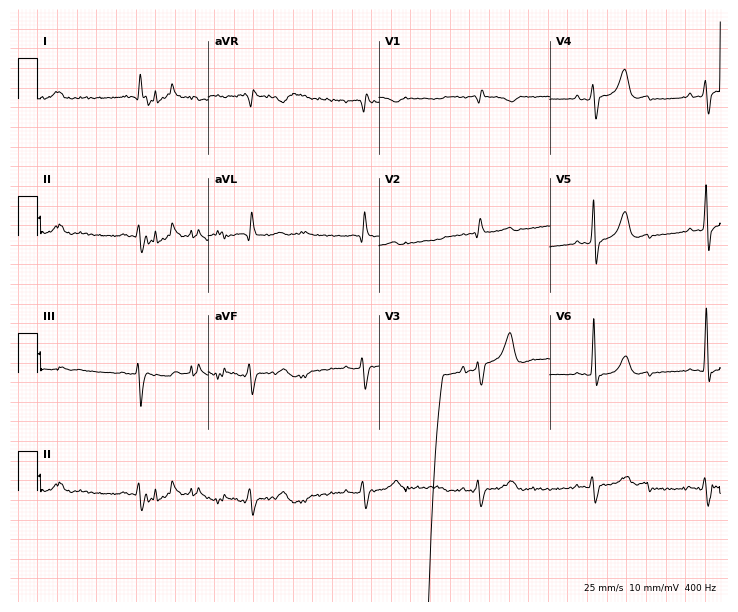
12-lead ECG from an 86-year-old female. No first-degree AV block, right bundle branch block, left bundle branch block, sinus bradycardia, atrial fibrillation or sinus tachycardia recorded for this tracing.